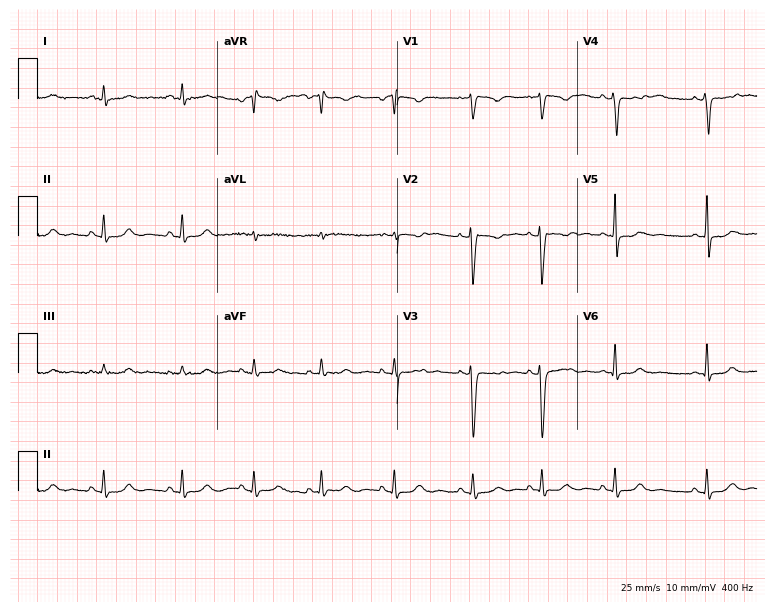
ECG (7.3-second recording at 400 Hz) — a woman, 24 years old. Screened for six findings — first-degree AV block, right bundle branch block, left bundle branch block, sinus bradycardia, atrial fibrillation, sinus tachycardia — none is recorded. Other findings, if any, are not listed.